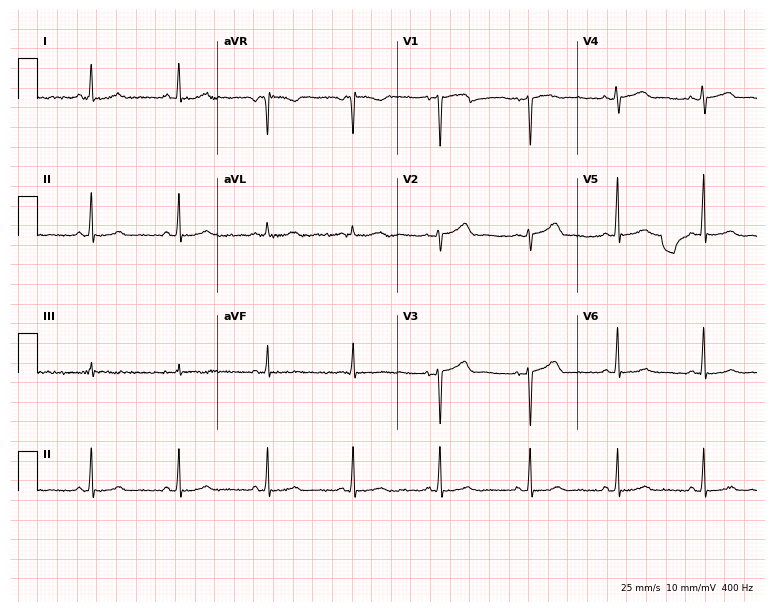
Resting 12-lead electrocardiogram. Patient: a 52-year-old female. None of these six findings is recorded: first-degree AV block, right bundle branch block, left bundle branch block, sinus bradycardia, atrial fibrillation, sinus tachycardia.